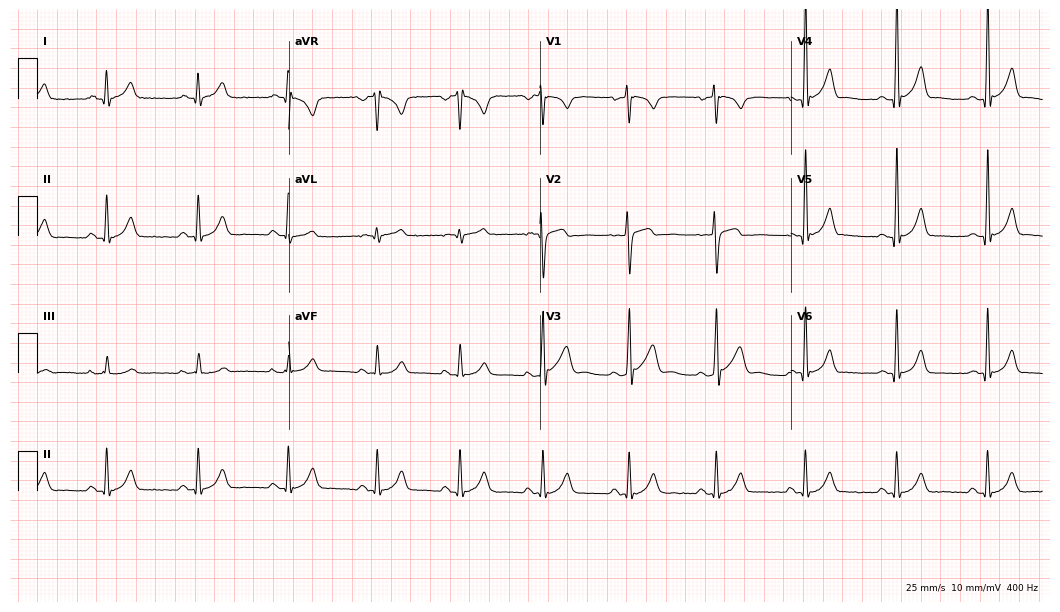
Electrocardiogram (10.2-second recording at 400 Hz), a male patient, 35 years old. Overall reading on record: normal ECG.